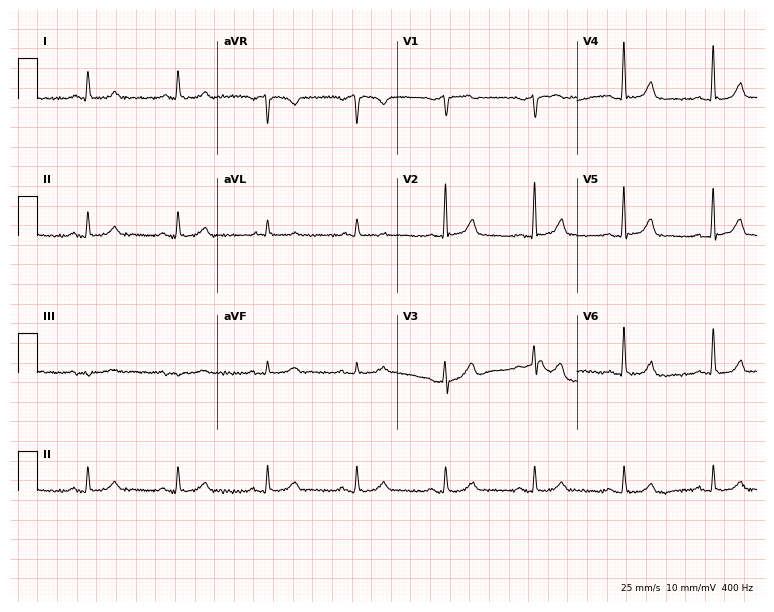
ECG (7.3-second recording at 400 Hz) — a 77-year-old man. Labelled as a normal ECG.